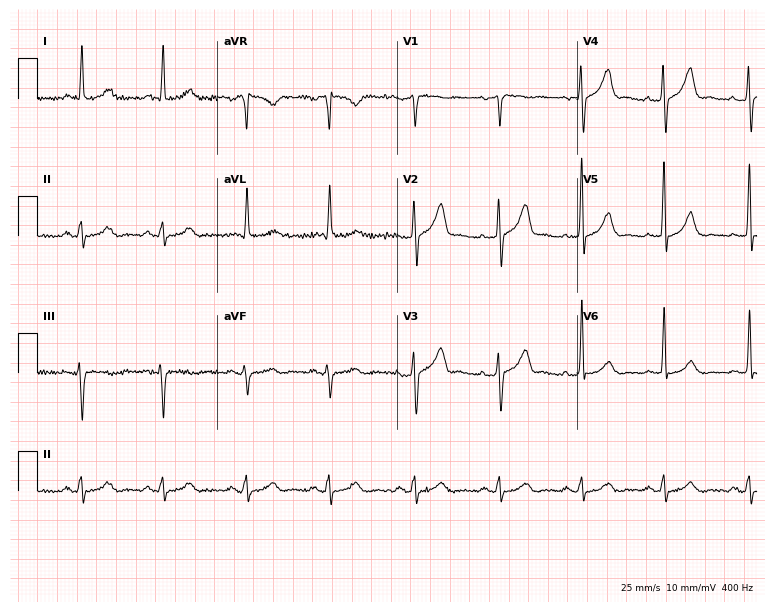
12-lead ECG from a man, 70 years old. Recorded interpretation: within normal limits.